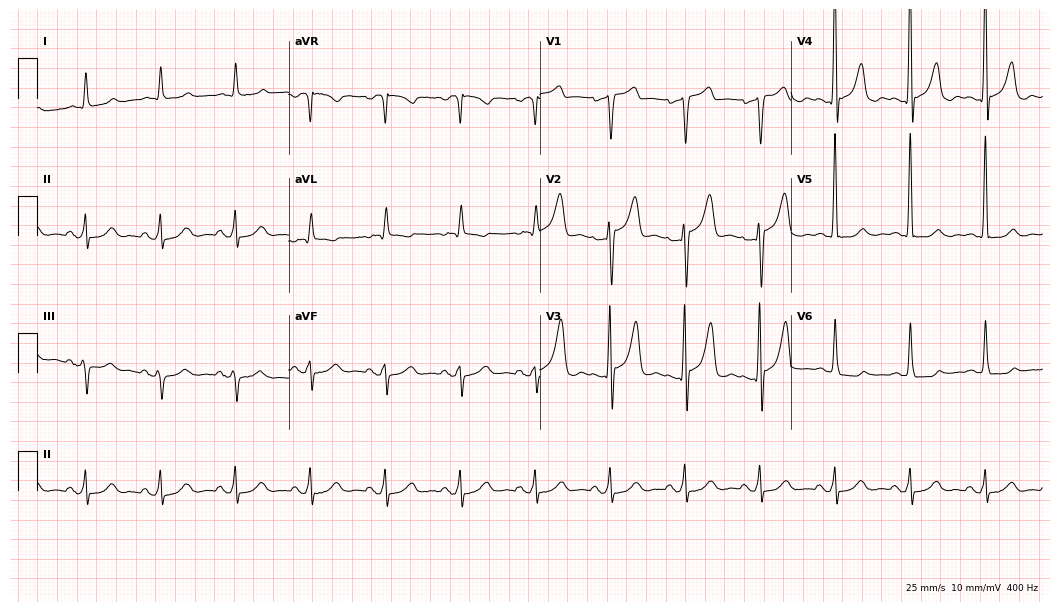
Electrocardiogram (10.2-second recording at 400 Hz), a male, 57 years old. Overall reading on record: normal ECG.